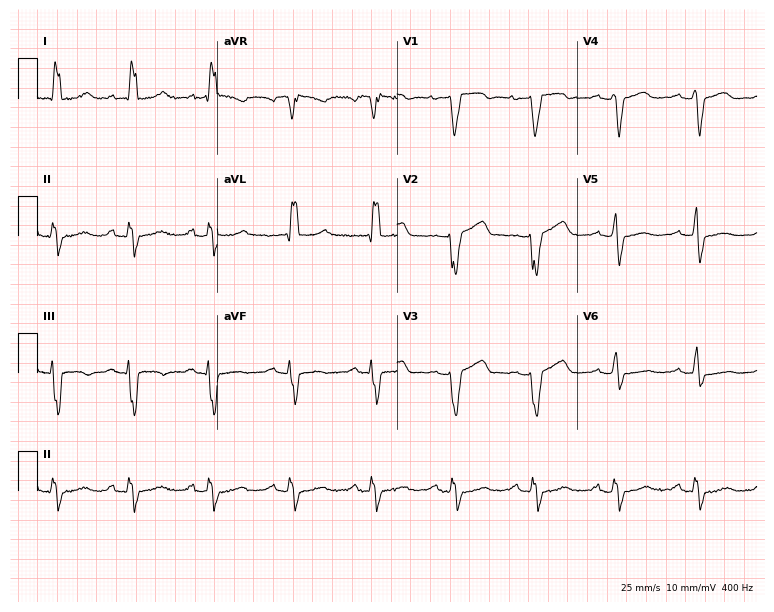
Electrocardiogram, a female patient, 74 years old. Interpretation includes first-degree AV block, left bundle branch block.